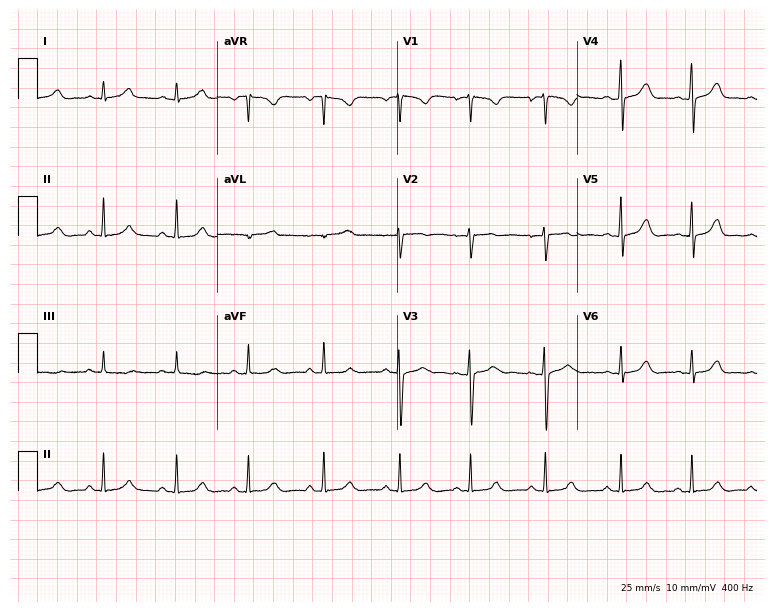
Standard 12-lead ECG recorded from a female patient, 23 years old (7.3-second recording at 400 Hz). None of these six findings is recorded: first-degree AV block, right bundle branch block, left bundle branch block, sinus bradycardia, atrial fibrillation, sinus tachycardia.